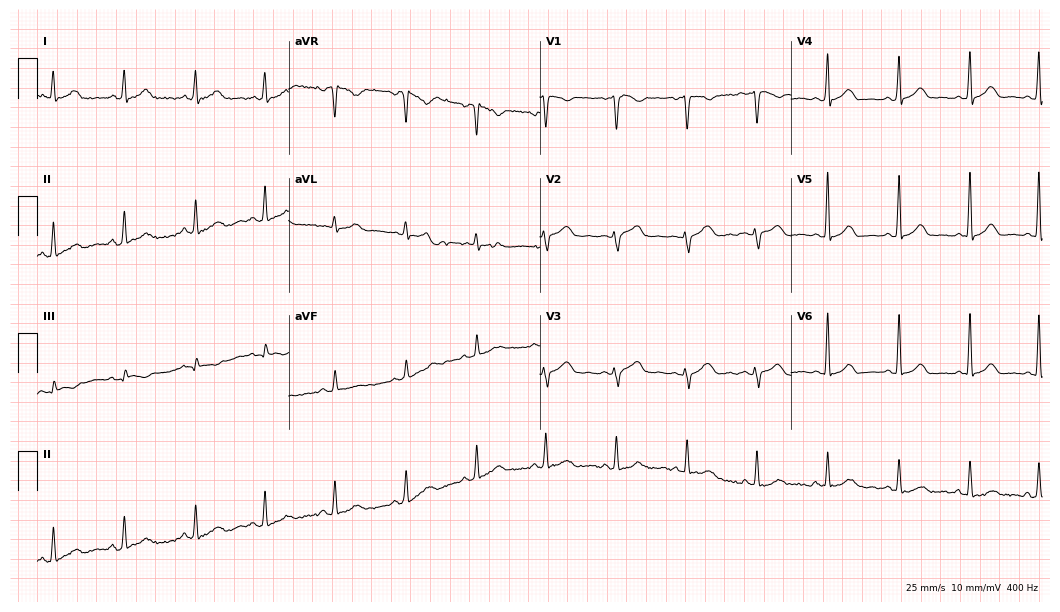
Standard 12-lead ECG recorded from a 37-year-old woman. Read as a normal ECG.